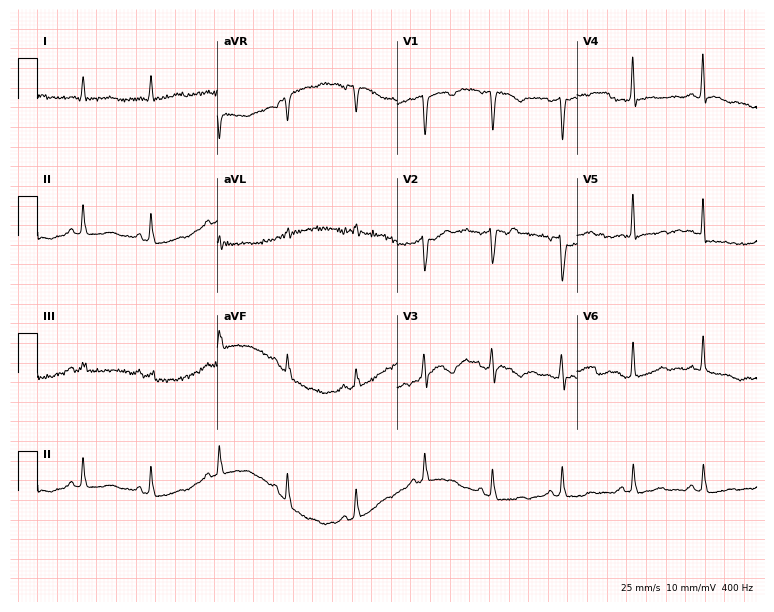
Electrocardiogram, a woman, 59 years old. Of the six screened findings (first-degree AV block, right bundle branch block, left bundle branch block, sinus bradycardia, atrial fibrillation, sinus tachycardia), none is recorded. Findings outside these six are not listed.